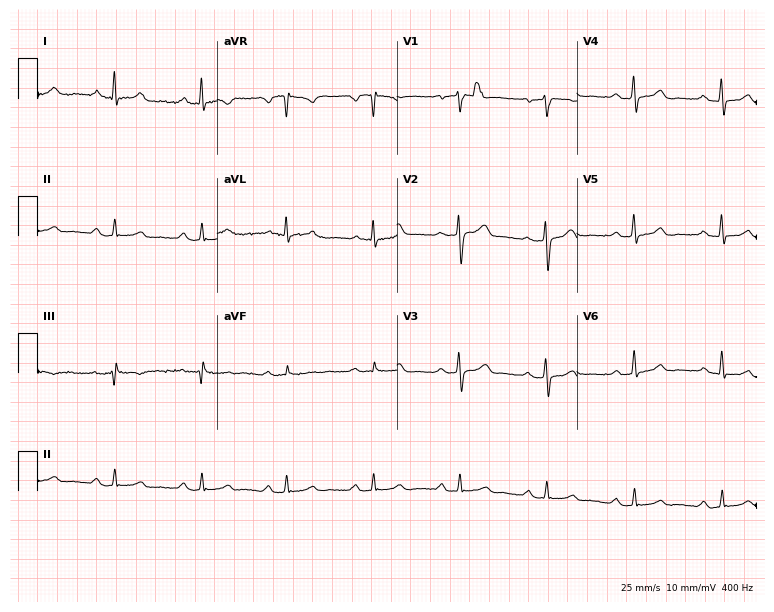
12-lead ECG (7.3-second recording at 400 Hz) from a male patient, 51 years old. Screened for six findings — first-degree AV block, right bundle branch block, left bundle branch block, sinus bradycardia, atrial fibrillation, sinus tachycardia — none is recorded.